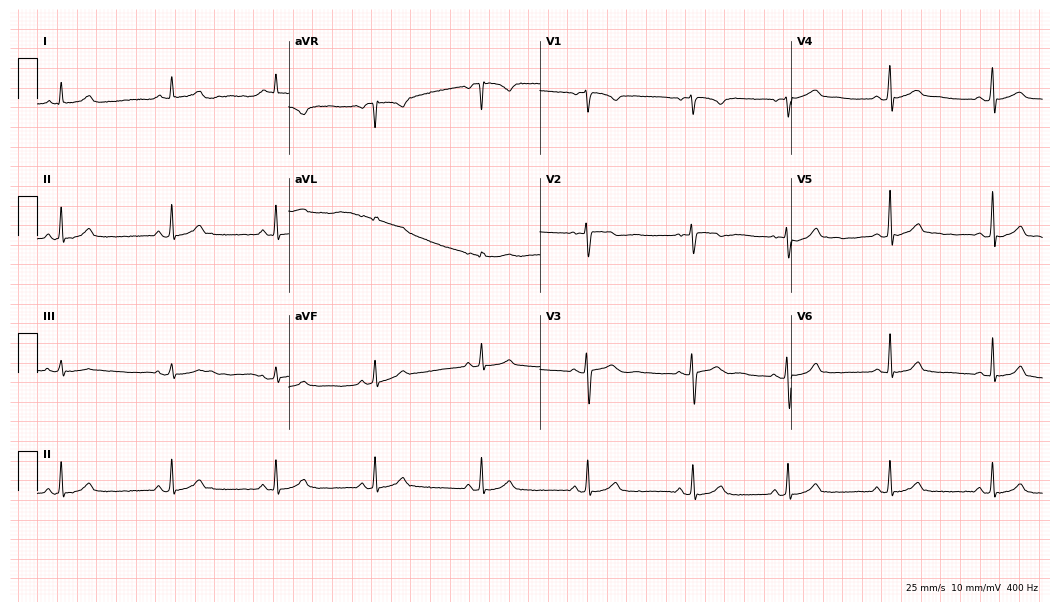
12-lead ECG from a woman, 19 years old. Labelled as a normal ECG.